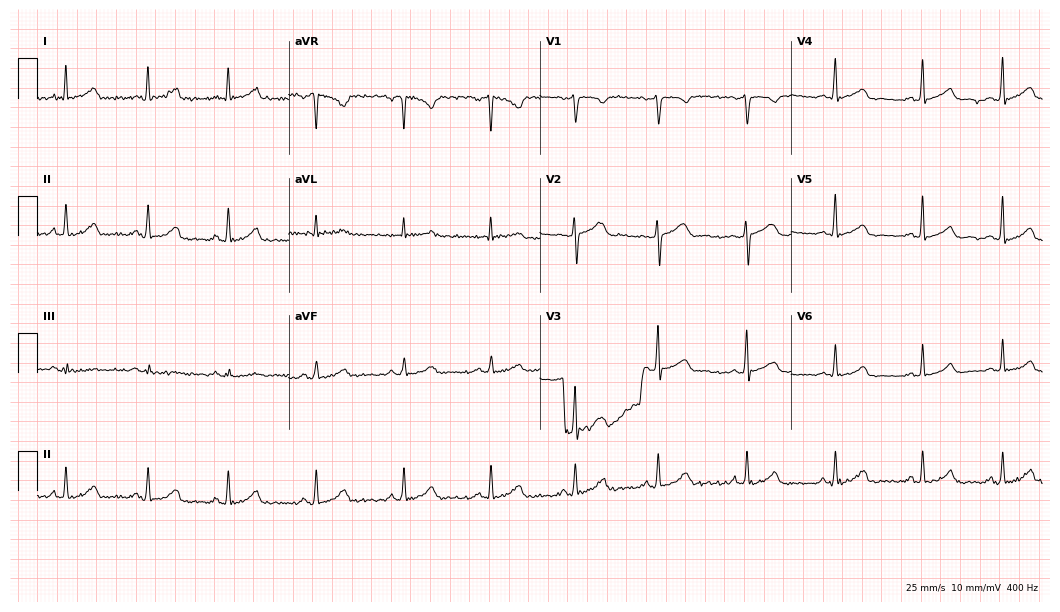
Electrocardiogram (10.2-second recording at 400 Hz), a female patient, 26 years old. Overall reading on record: normal ECG.